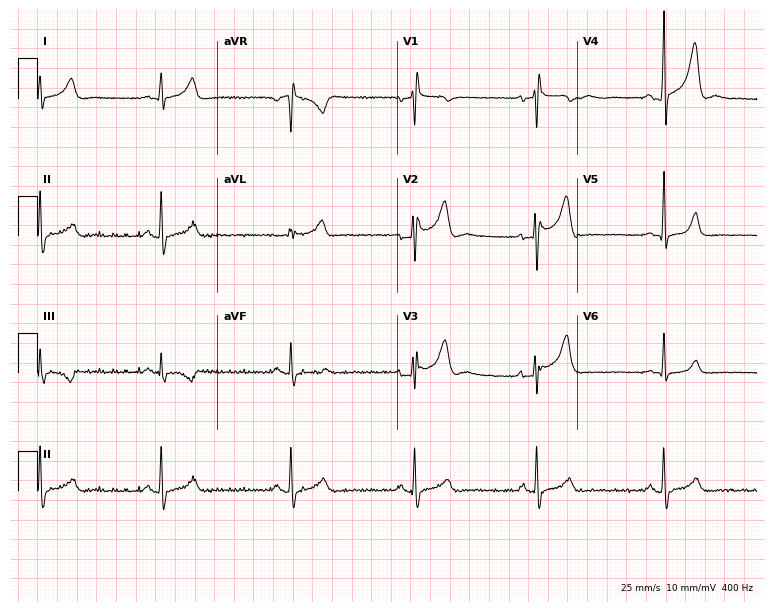
Electrocardiogram, a 25-year-old male patient. Interpretation includes sinus bradycardia (a sinus rate of 50 beats per minute or less).